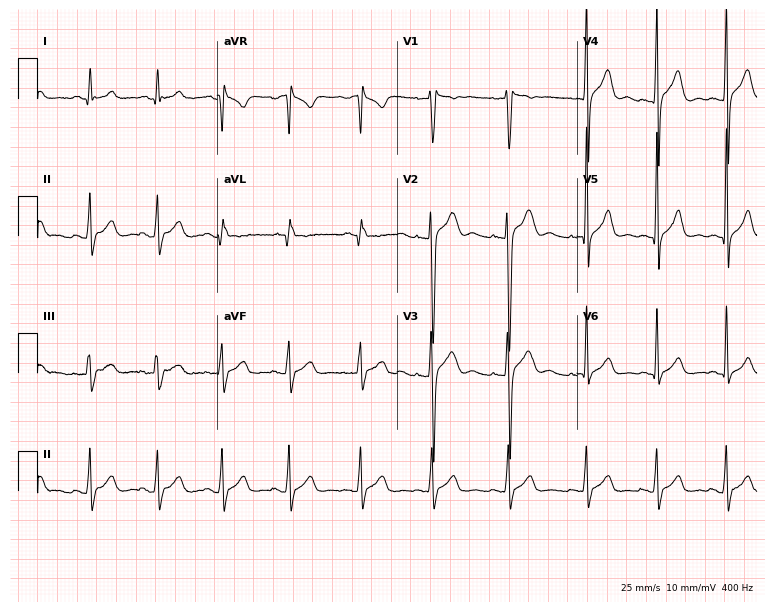
Standard 12-lead ECG recorded from a male, 18 years old (7.3-second recording at 400 Hz). None of these six findings is recorded: first-degree AV block, right bundle branch block, left bundle branch block, sinus bradycardia, atrial fibrillation, sinus tachycardia.